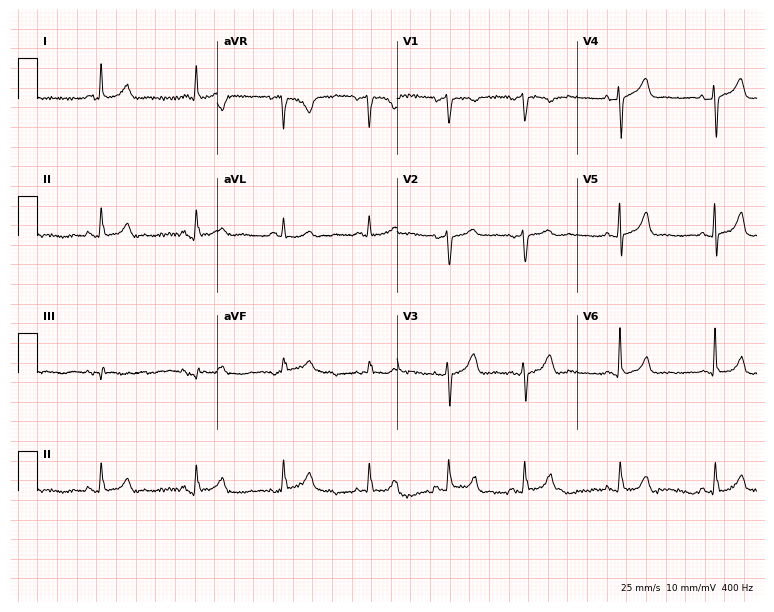
12-lead ECG from a 76-year-old woman (7.3-second recording at 400 Hz). Recorded interpretation: within normal limits.